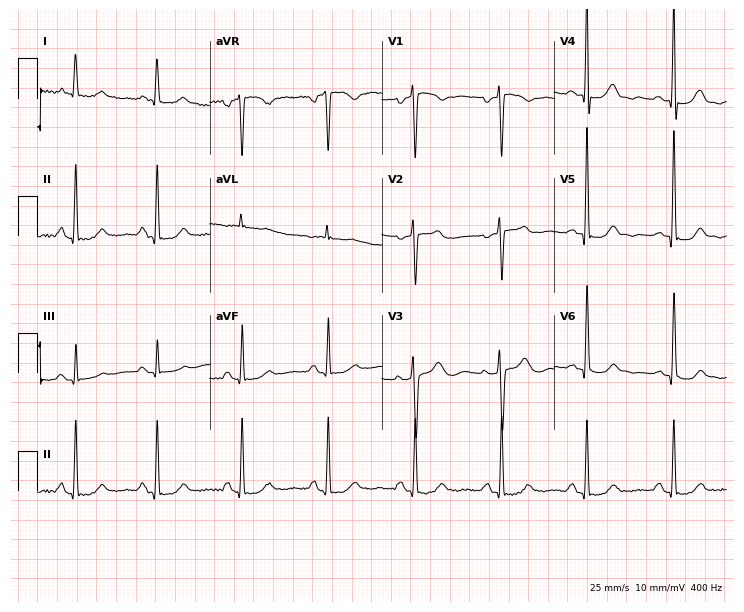
Standard 12-lead ECG recorded from a female patient, 67 years old. None of these six findings is recorded: first-degree AV block, right bundle branch block, left bundle branch block, sinus bradycardia, atrial fibrillation, sinus tachycardia.